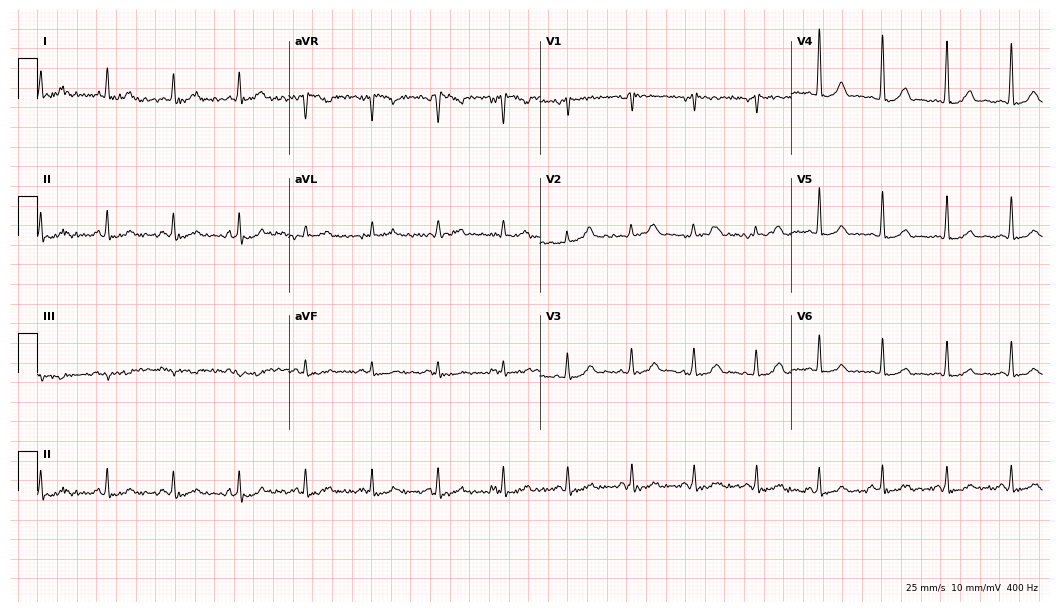
12-lead ECG (10.2-second recording at 400 Hz) from a female patient, 47 years old. Screened for six findings — first-degree AV block, right bundle branch block (RBBB), left bundle branch block (LBBB), sinus bradycardia, atrial fibrillation (AF), sinus tachycardia — none is recorded. Findings outside these six are not listed.